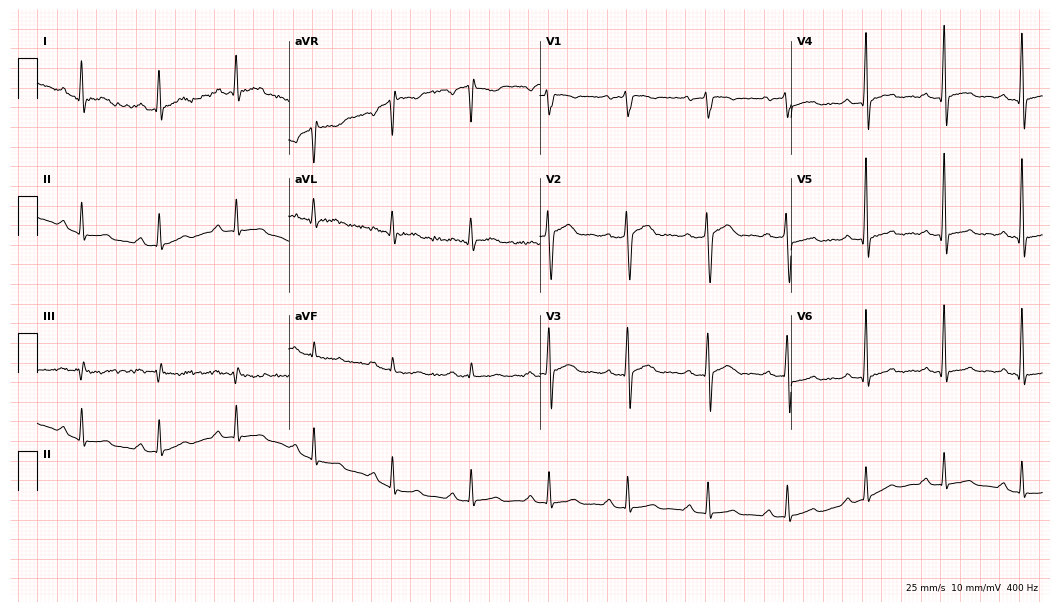
ECG (10.2-second recording at 400 Hz) — a man, 39 years old. Labelled as a normal ECG.